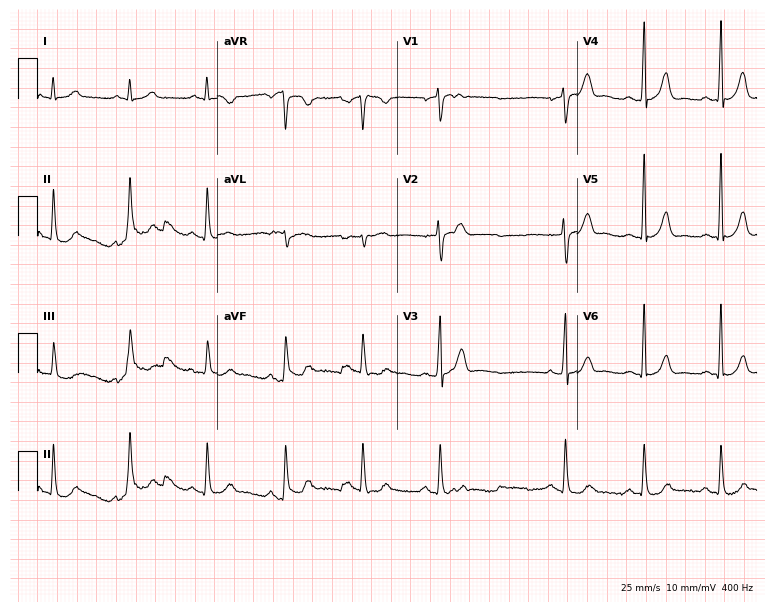
Electrocardiogram (7.3-second recording at 400 Hz), a man, 78 years old. Of the six screened findings (first-degree AV block, right bundle branch block, left bundle branch block, sinus bradycardia, atrial fibrillation, sinus tachycardia), none is recorded. Other findings, if any, are not listed.